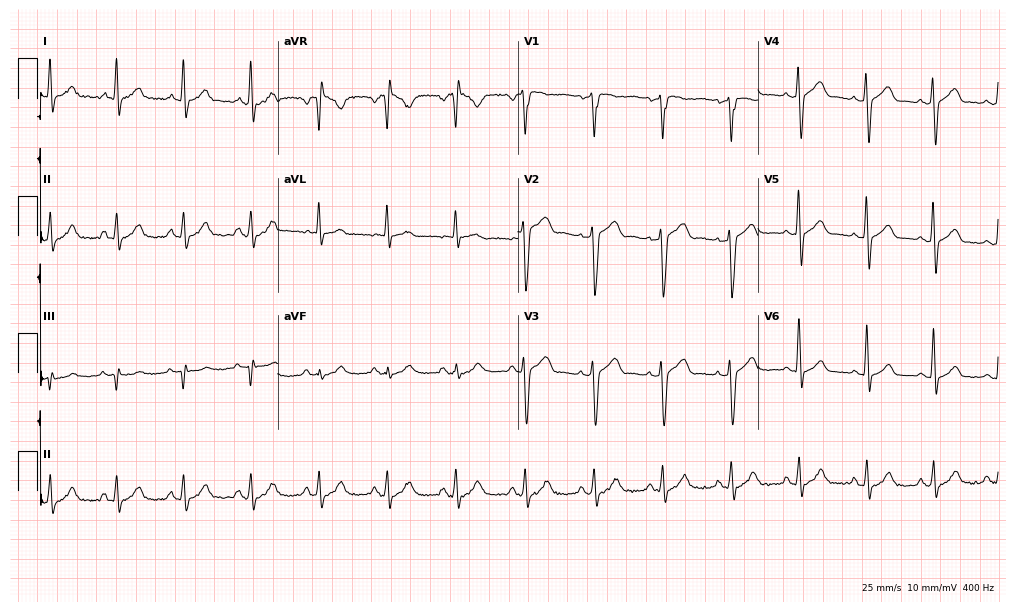
Resting 12-lead electrocardiogram. Patient: a female, 43 years old. None of these six findings is recorded: first-degree AV block, right bundle branch block (RBBB), left bundle branch block (LBBB), sinus bradycardia, atrial fibrillation (AF), sinus tachycardia.